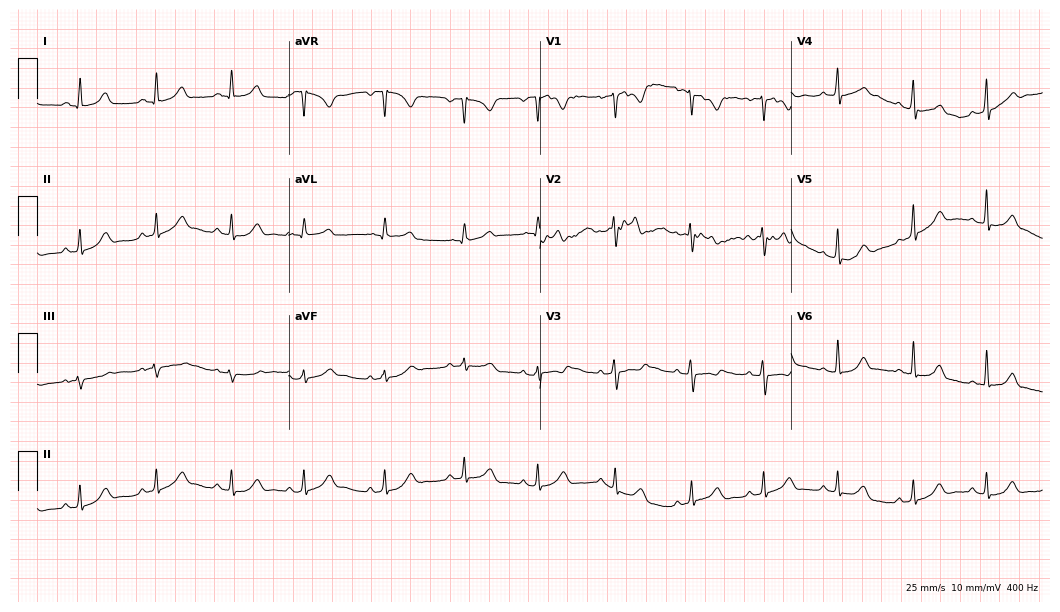
Standard 12-lead ECG recorded from a female, 25 years old. Read as a normal ECG.